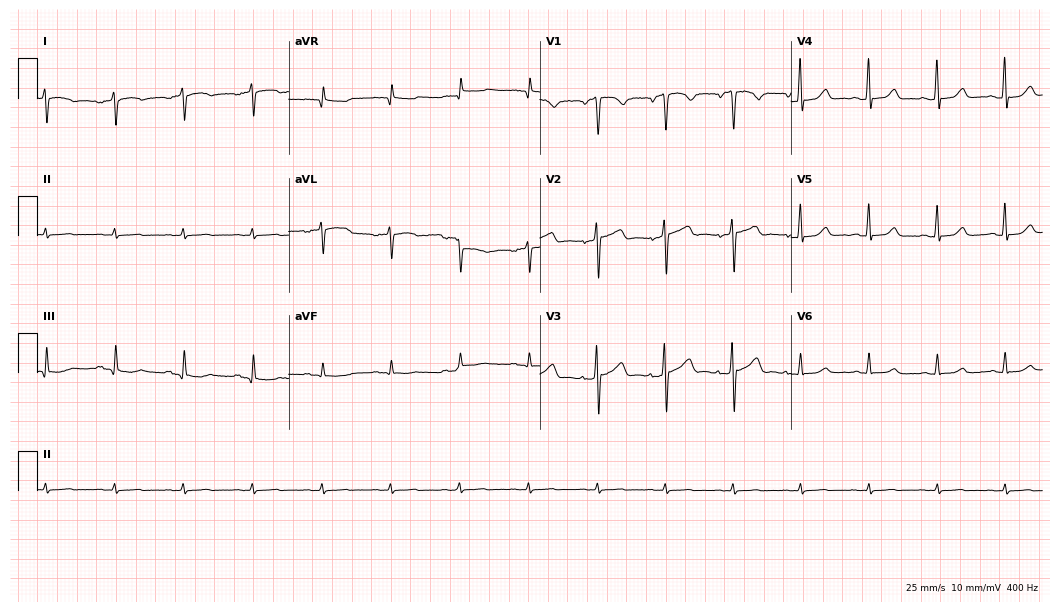
Electrocardiogram, a man, 62 years old. Of the six screened findings (first-degree AV block, right bundle branch block, left bundle branch block, sinus bradycardia, atrial fibrillation, sinus tachycardia), none is recorded.